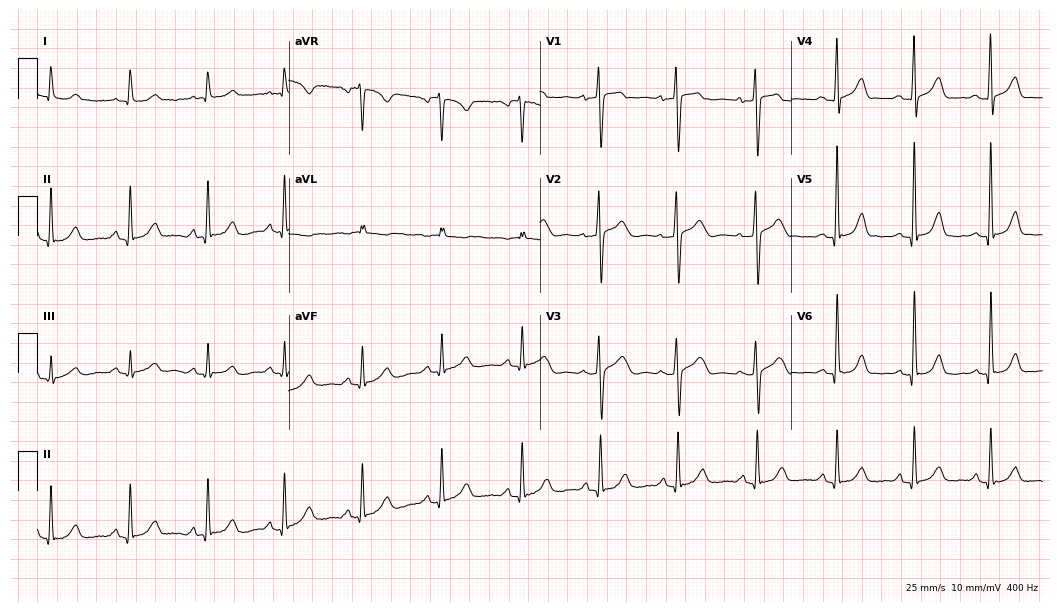
12-lead ECG (10.2-second recording at 400 Hz) from a female, 48 years old. Labelled as a normal ECG.